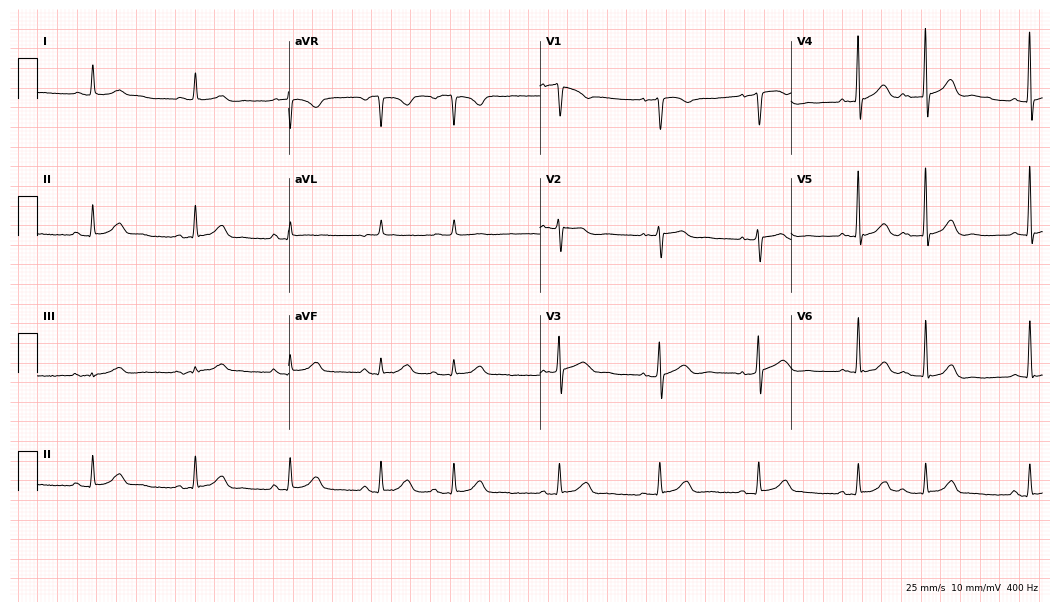
12-lead ECG from a male patient, 70 years old (10.2-second recording at 400 Hz). No first-degree AV block, right bundle branch block, left bundle branch block, sinus bradycardia, atrial fibrillation or sinus tachycardia recorded for this tracing. Only these six findings were labelled.